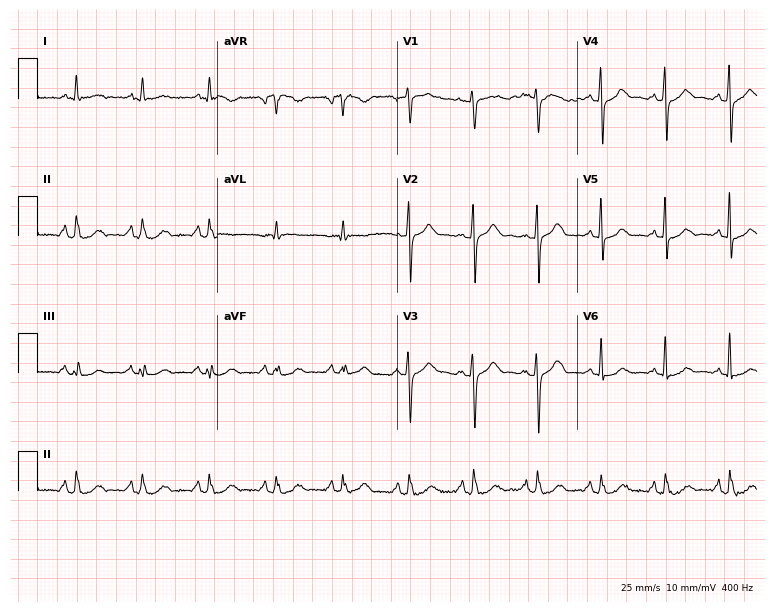
Electrocardiogram, a female patient, 56 years old. Overall reading on record: normal ECG.